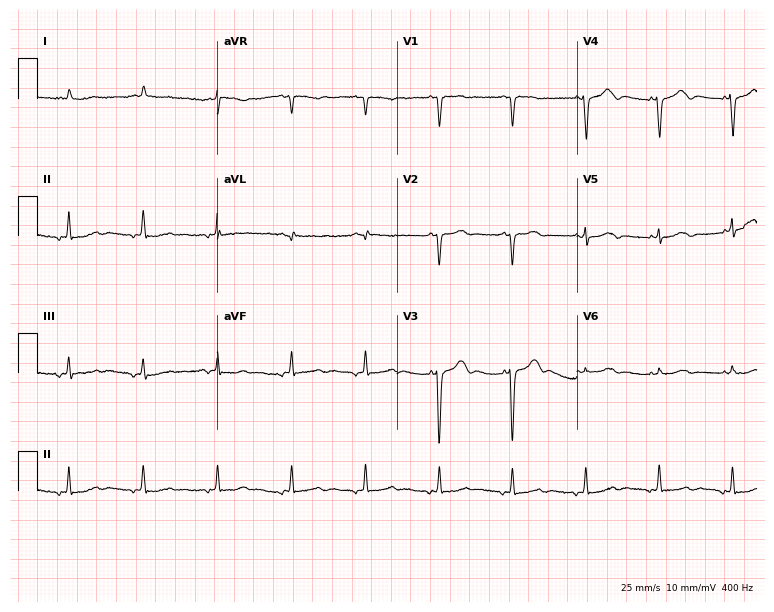
Resting 12-lead electrocardiogram. Patient: a 74-year-old male. Read as a normal ECG.